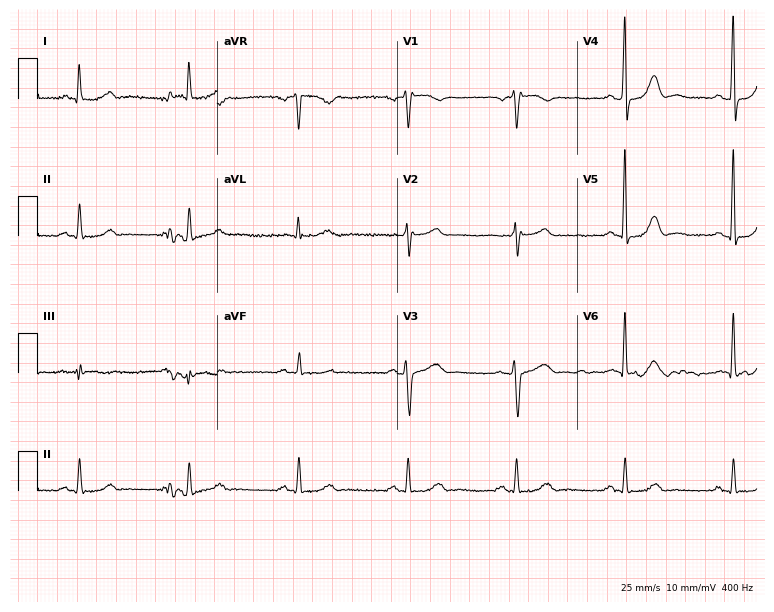
12-lead ECG (7.3-second recording at 400 Hz) from a male patient, 66 years old. Screened for six findings — first-degree AV block, right bundle branch block, left bundle branch block, sinus bradycardia, atrial fibrillation, sinus tachycardia — none is recorded.